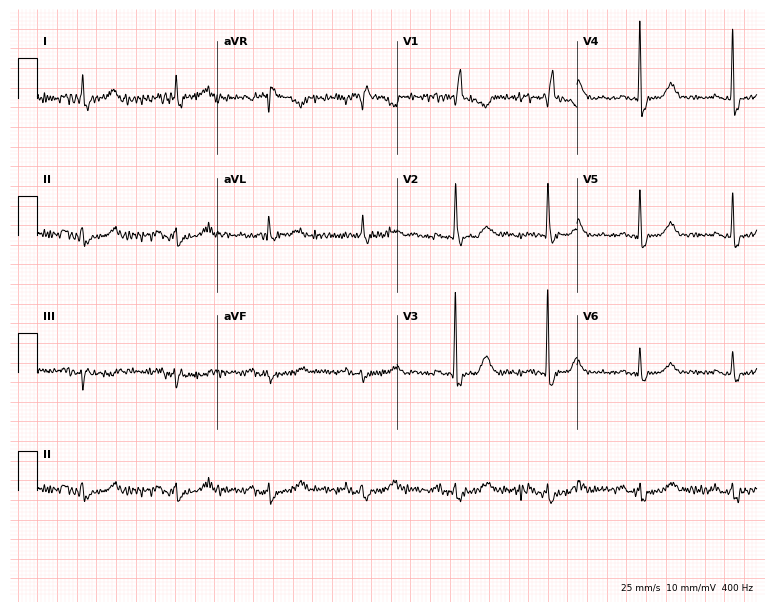
Electrocardiogram (7.3-second recording at 400 Hz), a 70-year-old woman. Of the six screened findings (first-degree AV block, right bundle branch block, left bundle branch block, sinus bradycardia, atrial fibrillation, sinus tachycardia), none is recorded.